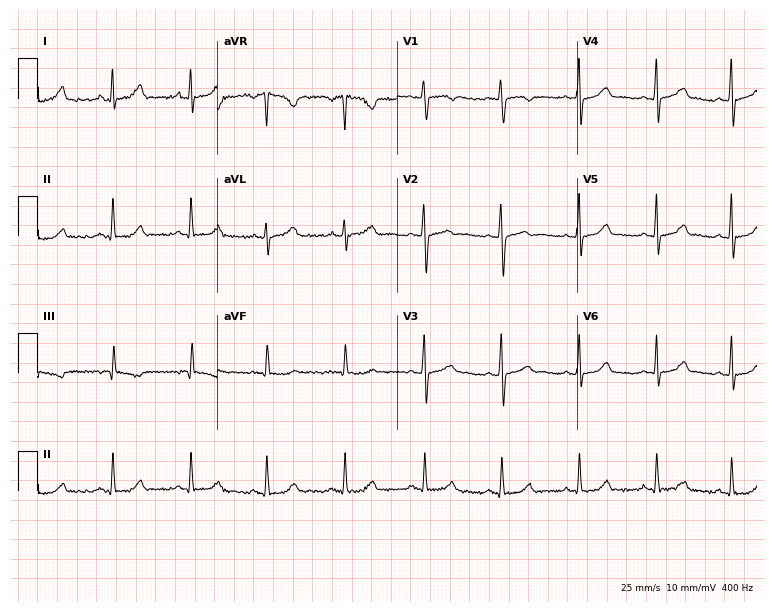
Electrocardiogram, a woman, 28 years old. Overall reading on record: normal ECG.